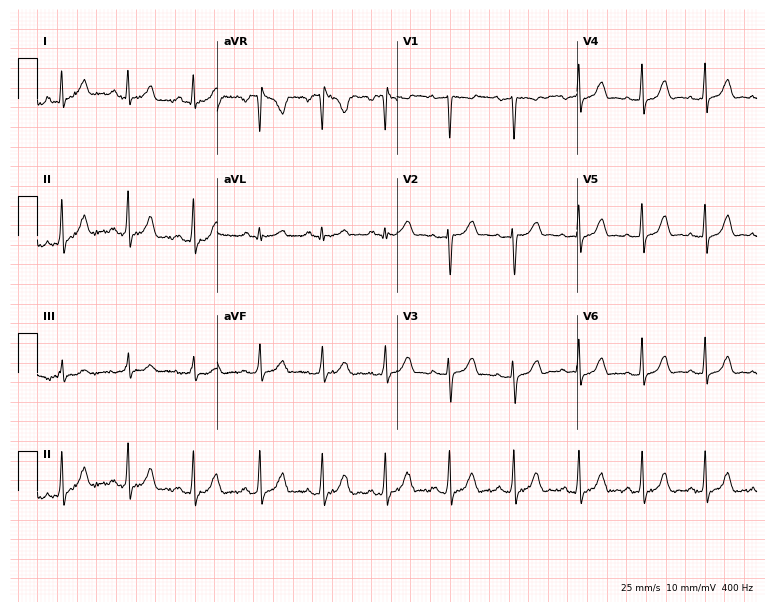
12-lead ECG from a 23-year-old woman. Labelled as a normal ECG.